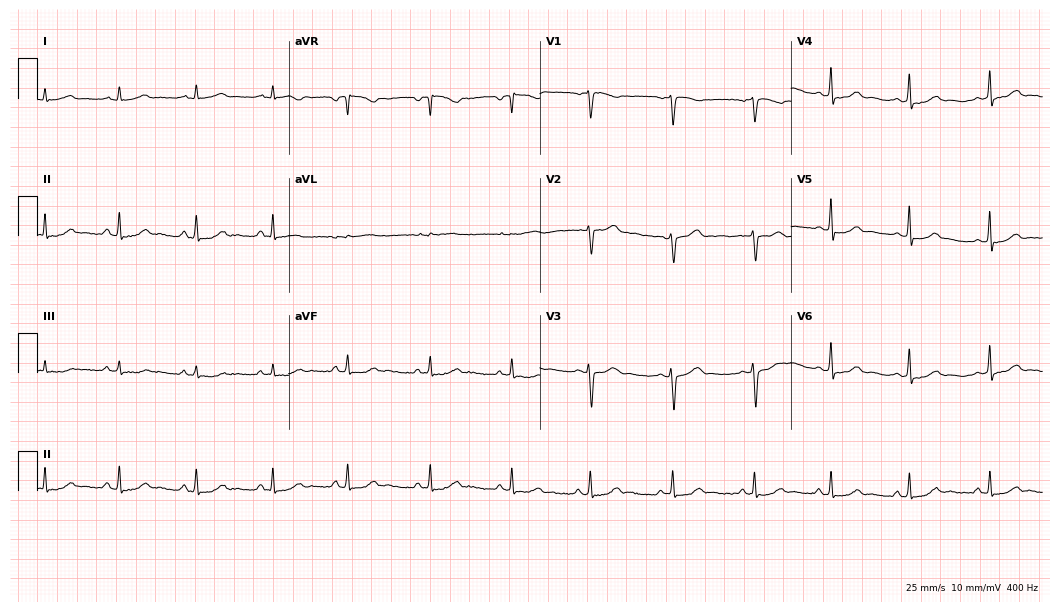
Electrocardiogram (10.2-second recording at 400 Hz), a 32-year-old woman. Overall reading on record: normal ECG.